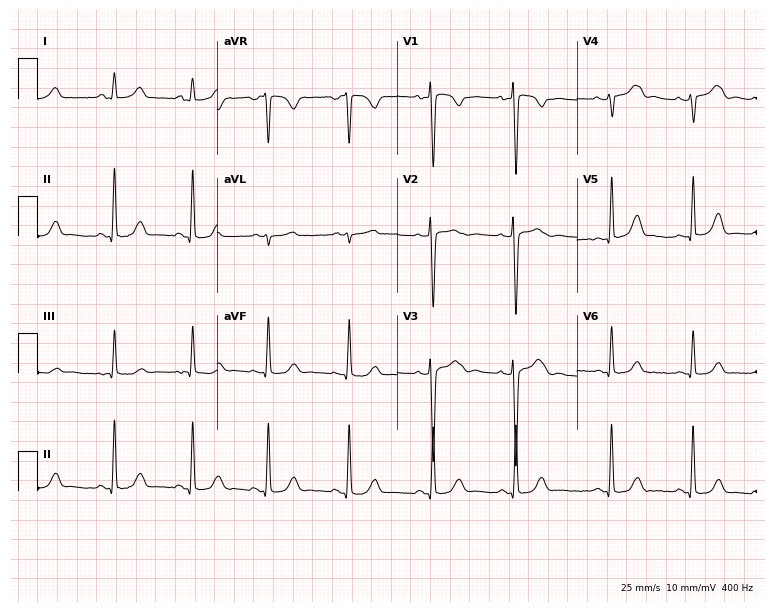
Electrocardiogram (7.3-second recording at 400 Hz), a 22-year-old female patient. Of the six screened findings (first-degree AV block, right bundle branch block, left bundle branch block, sinus bradycardia, atrial fibrillation, sinus tachycardia), none is recorded.